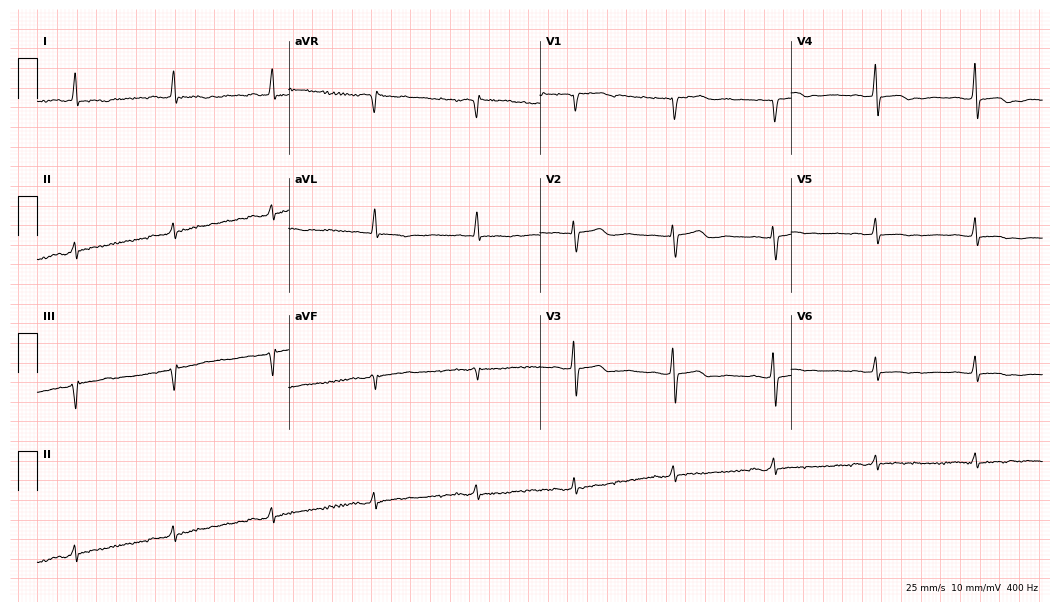
12-lead ECG (10.2-second recording at 400 Hz) from a female, 63 years old. Screened for six findings — first-degree AV block, right bundle branch block, left bundle branch block, sinus bradycardia, atrial fibrillation, sinus tachycardia — none is recorded.